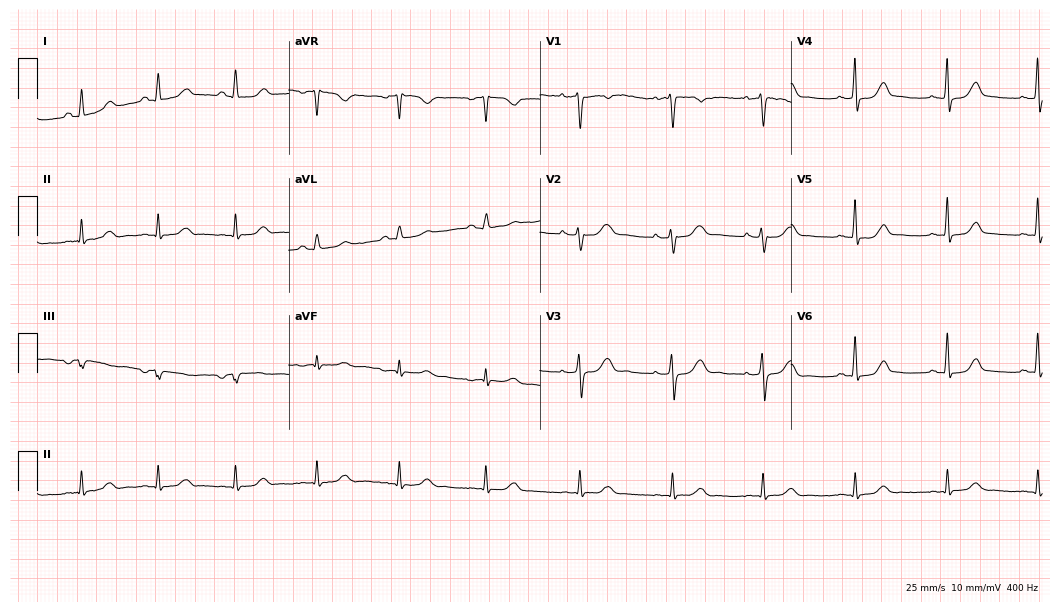
12-lead ECG (10.2-second recording at 400 Hz) from a 40-year-old female. Labelled as a normal ECG.